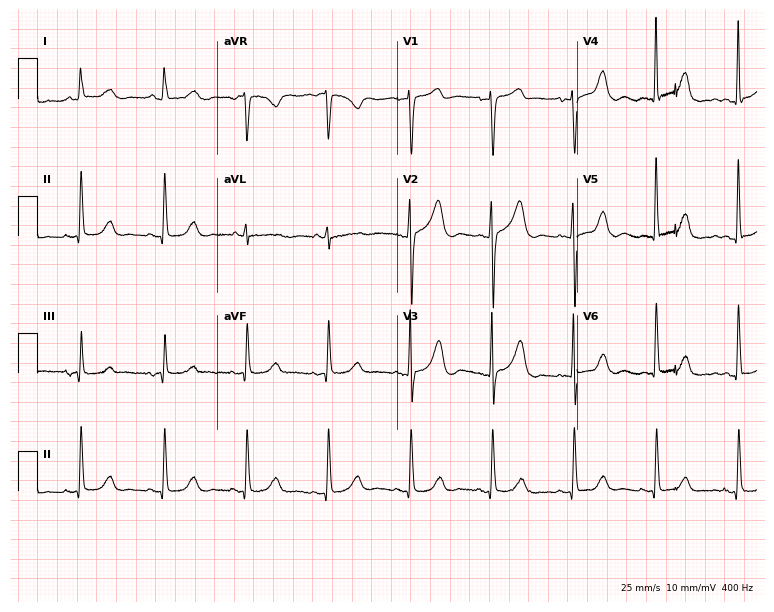
12-lead ECG (7.3-second recording at 400 Hz) from a woman, 84 years old. Screened for six findings — first-degree AV block, right bundle branch block, left bundle branch block, sinus bradycardia, atrial fibrillation, sinus tachycardia — none is recorded. Findings outside these six are not listed.